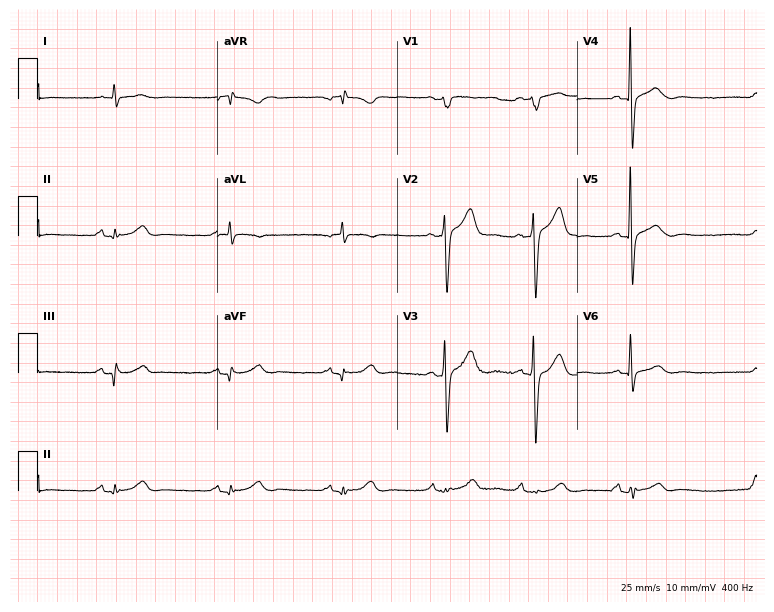
Electrocardiogram, a 63-year-old male patient. Of the six screened findings (first-degree AV block, right bundle branch block, left bundle branch block, sinus bradycardia, atrial fibrillation, sinus tachycardia), none is recorded. Only these six findings were labelled.